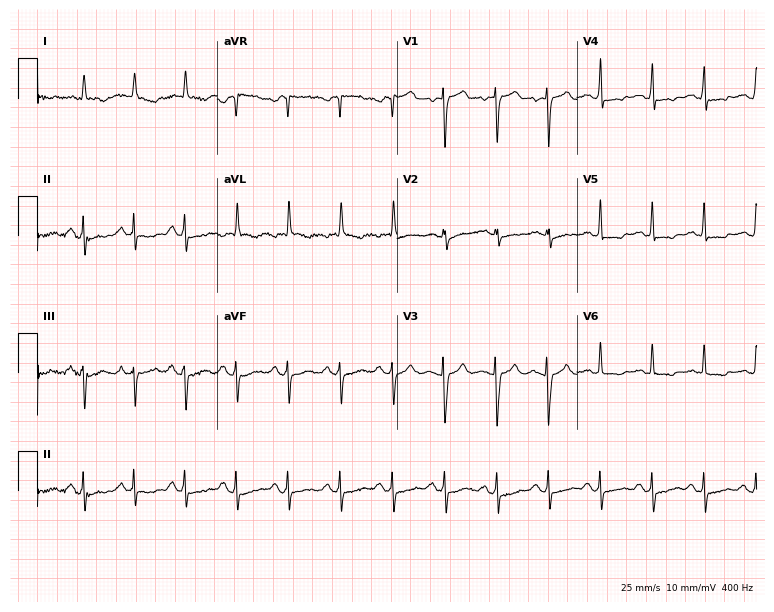
12-lead ECG from a 72-year-old female patient (7.3-second recording at 400 Hz). Shows sinus tachycardia (a sinus rate of 100 beats per minute or more).